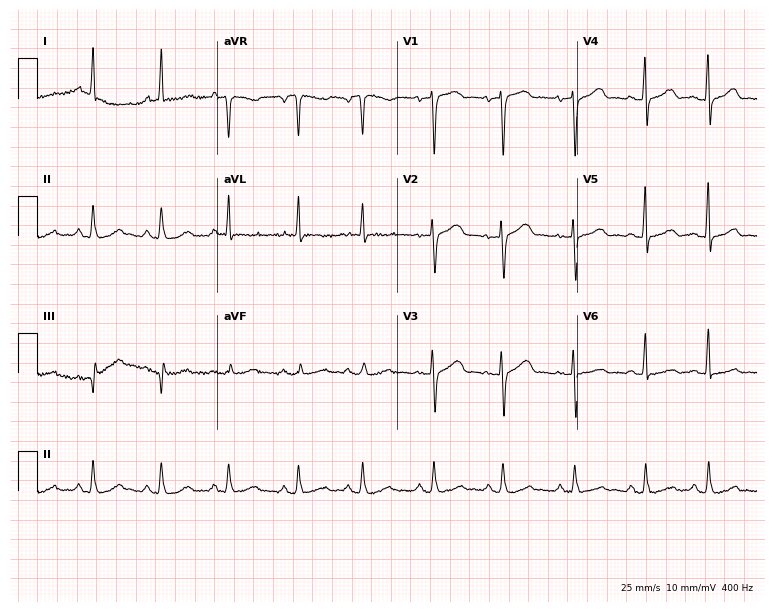
ECG — a 62-year-old female. Labelled as a normal ECG.